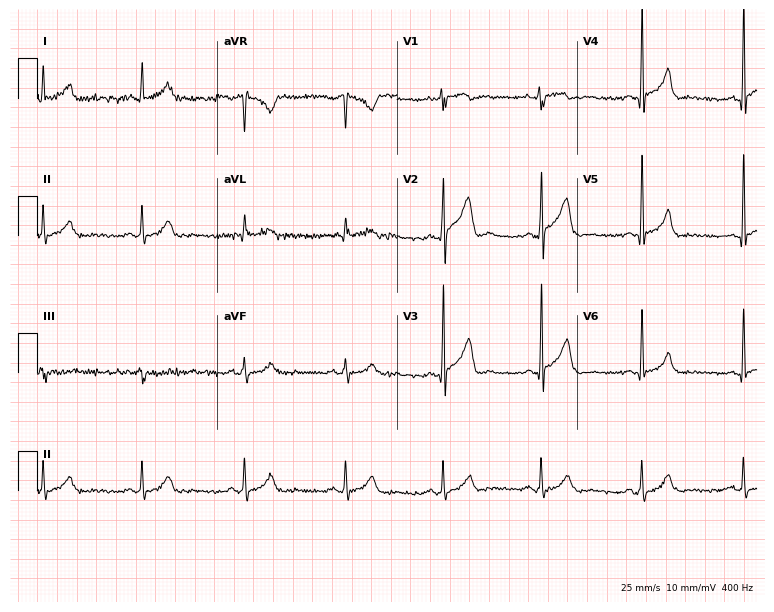
ECG — a man, 28 years old. Labelled as a normal ECG.